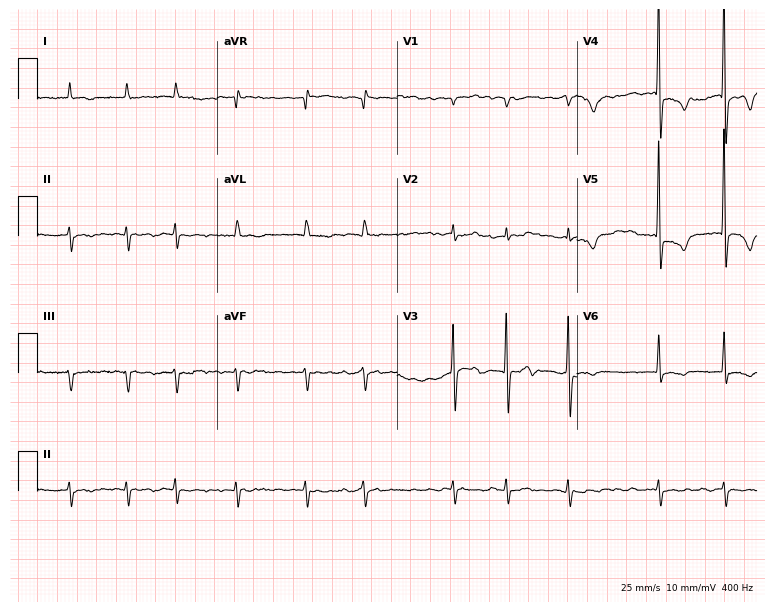
12-lead ECG from an 85-year-old man (7.3-second recording at 400 Hz). Shows atrial fibrillation (AF).